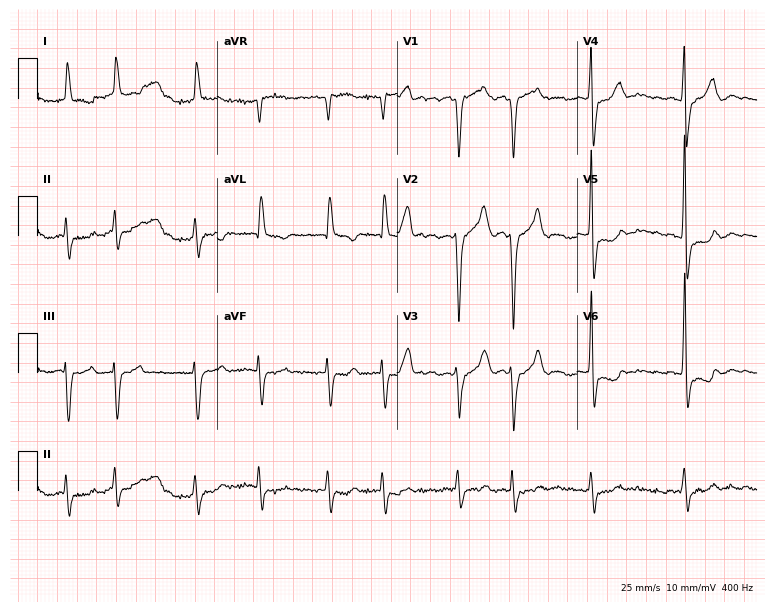
Electrocardiogram, a female, 71 years old. Interpretation includes atrial fibrillation (AF).